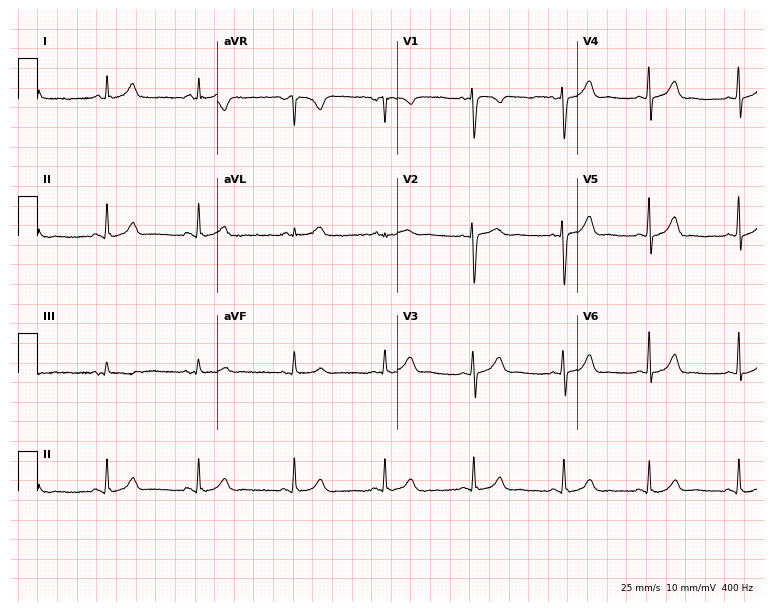
Standard 12-lead ECG recorded from a woman, 36 years old (7.3-second recording at 400 Hz). Read as a normal ECG.